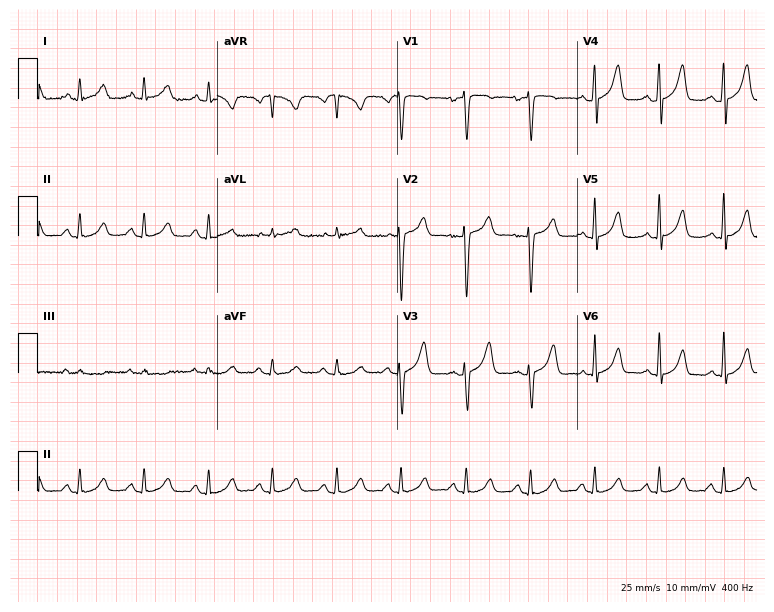
12-lead ECG from a female, 47 years old. No first-degree AV block, right bundle branch block (RBBB), left bundle branch block (LBBB), sinus bradycardia, atrial fibrillation (AF) or sinus tachycardia recorded for this tracing.